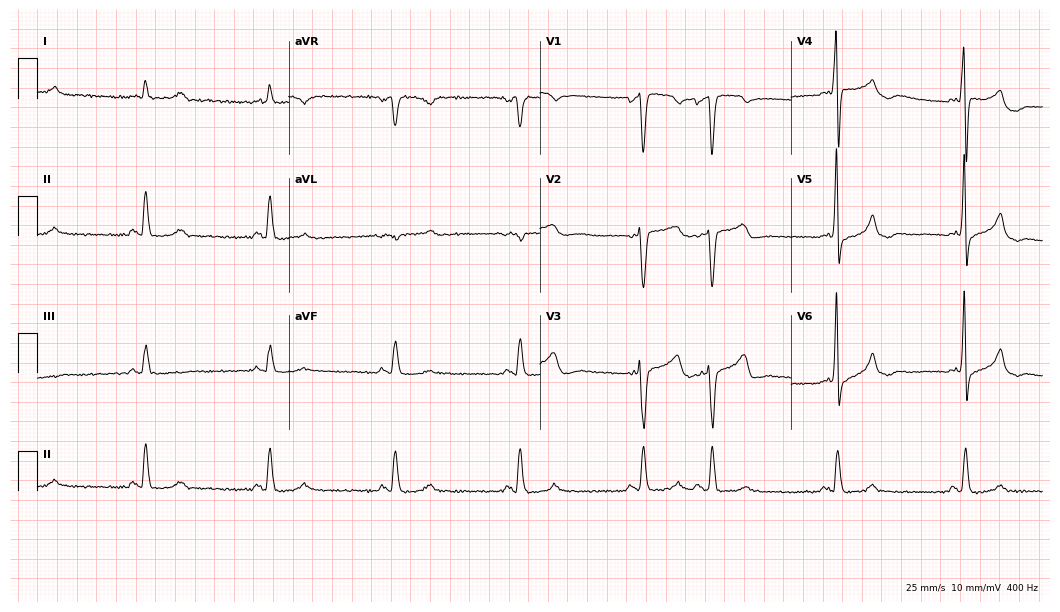
Resting 12-lead electrocardiogram. Patient: a male, 77 years old. The tracing shows sinus bradycardia (a sinus rate of 50 beats per minute or less).